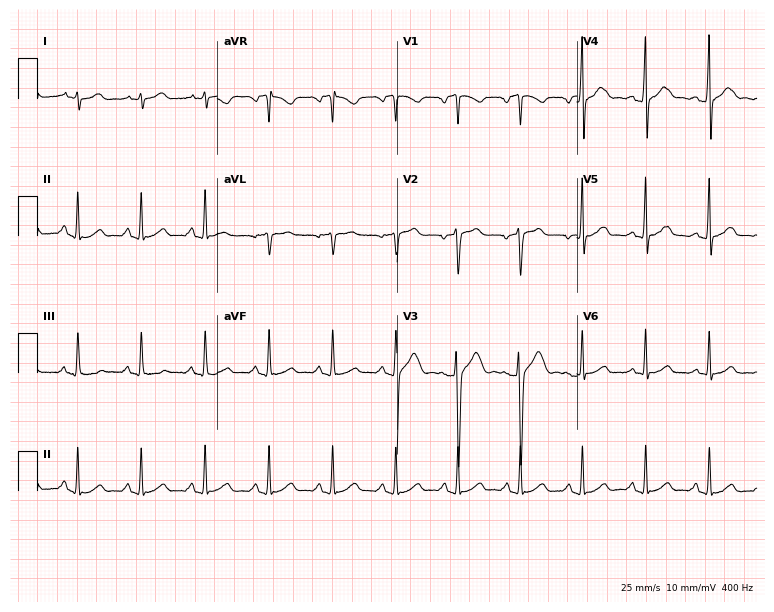
Resting 12-lead electrocardiogram (7.3-second recording at 400 Hz). Patient: a man, 30 years old. Read as a normal ECG.